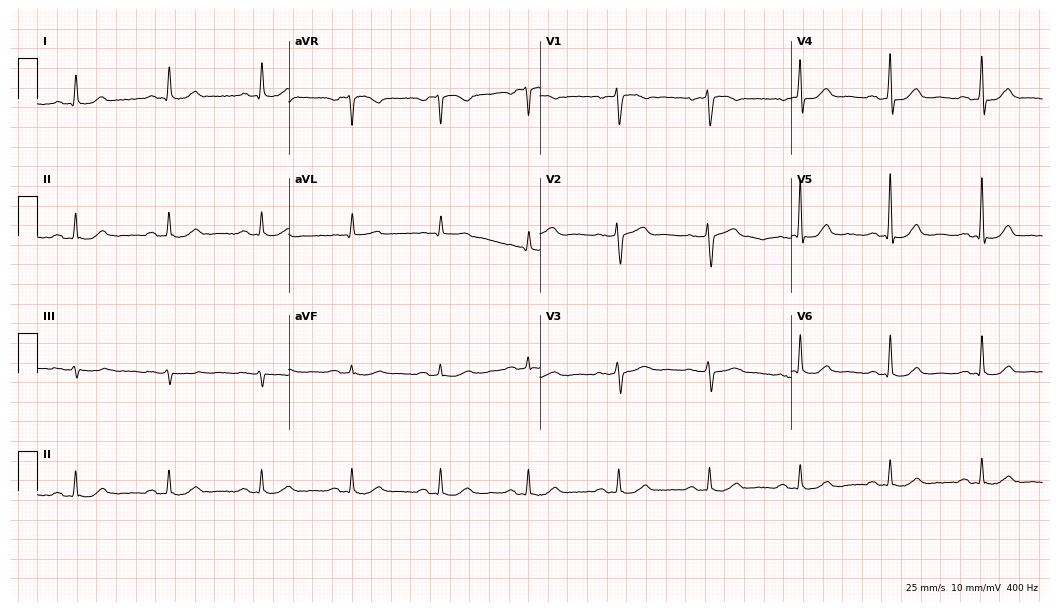
Standard 12-lead ECG recorded from a 62-year-old woman. Read as a normal ECG.